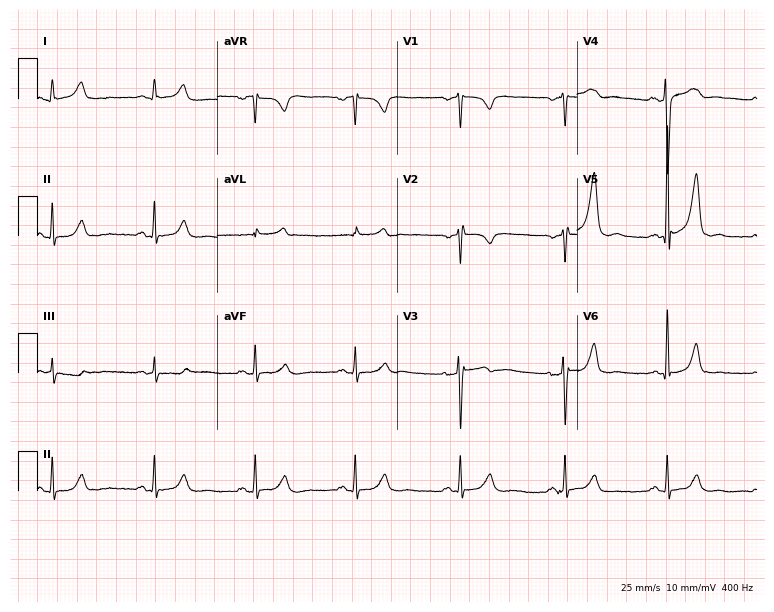
ECG (7.3-second recording at 400 Hz) — a 42-year-old female. Labelled as a normal ECG.